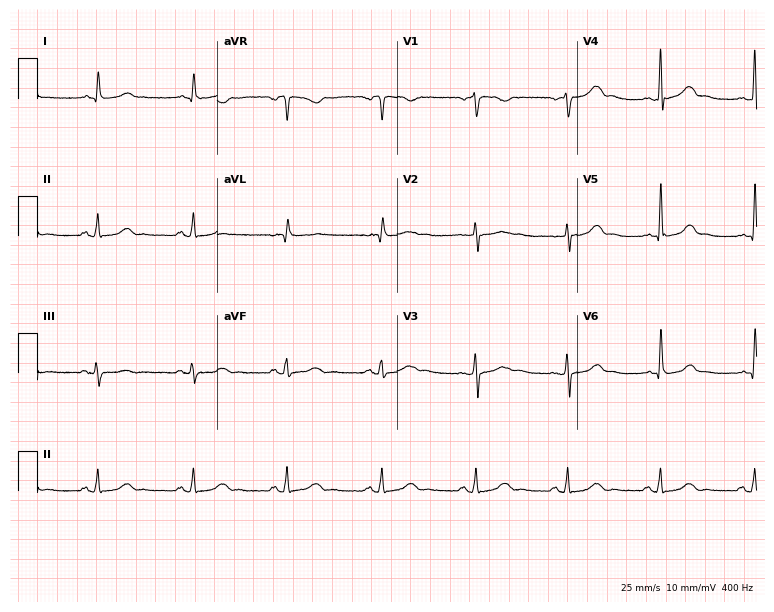
Standard 12-lead ECG recorded from a male patient, 49 years old. Read as a normal ECG.